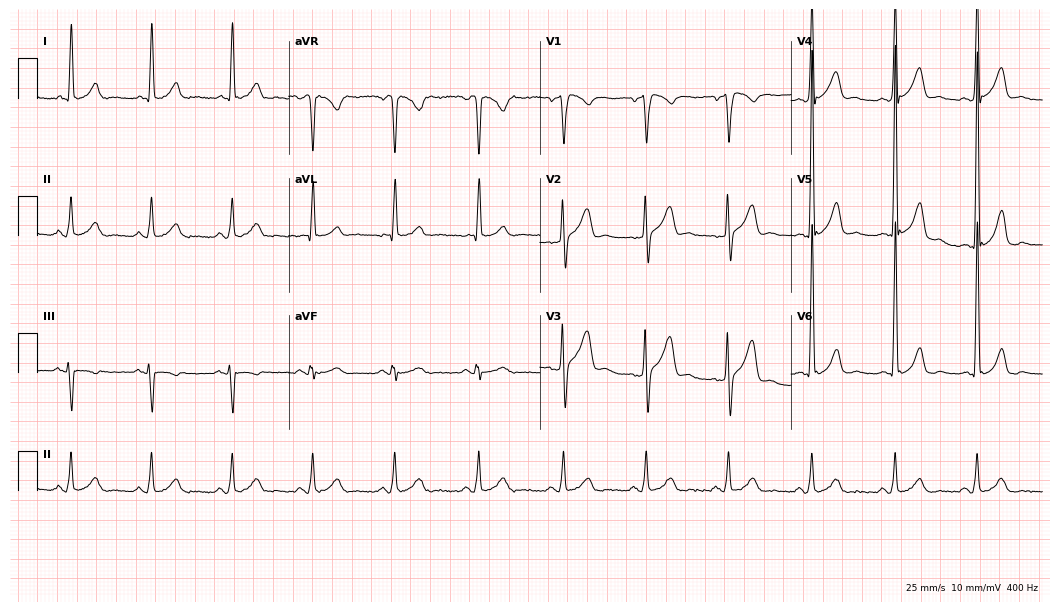
ECG — a 41-year-old male. Screened for six findings — first-degree AV block, right bundle branch block (RBBB), left bundle branch block (LBBB), sinus bradycardia, atrial fibrillation (AF), sinus tachycardia — none is recorded.